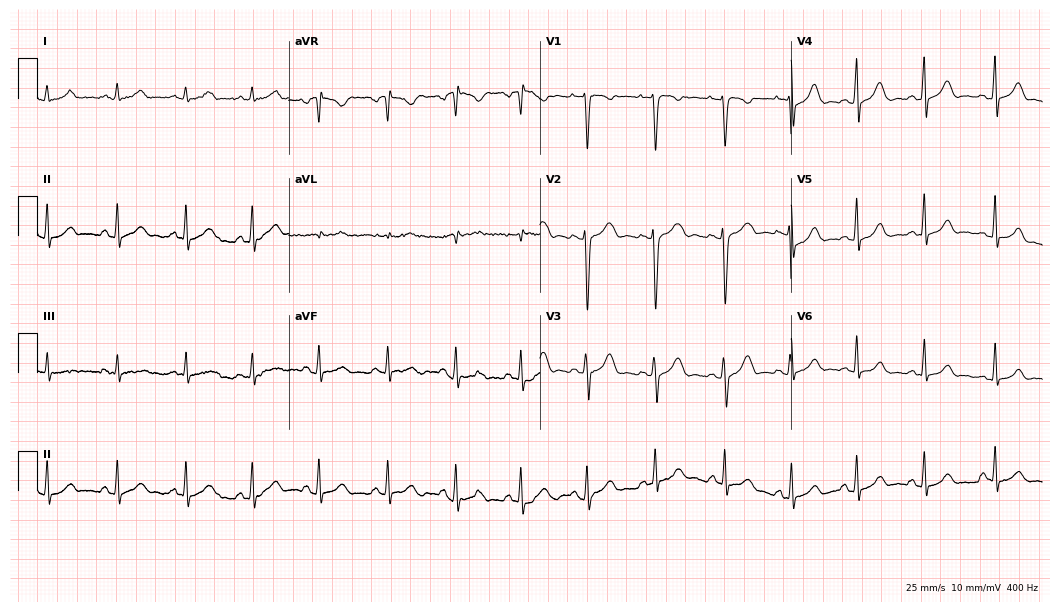
Standard 12-lead ECG recorded from a female, 29 years old. Read as a normal ECG.